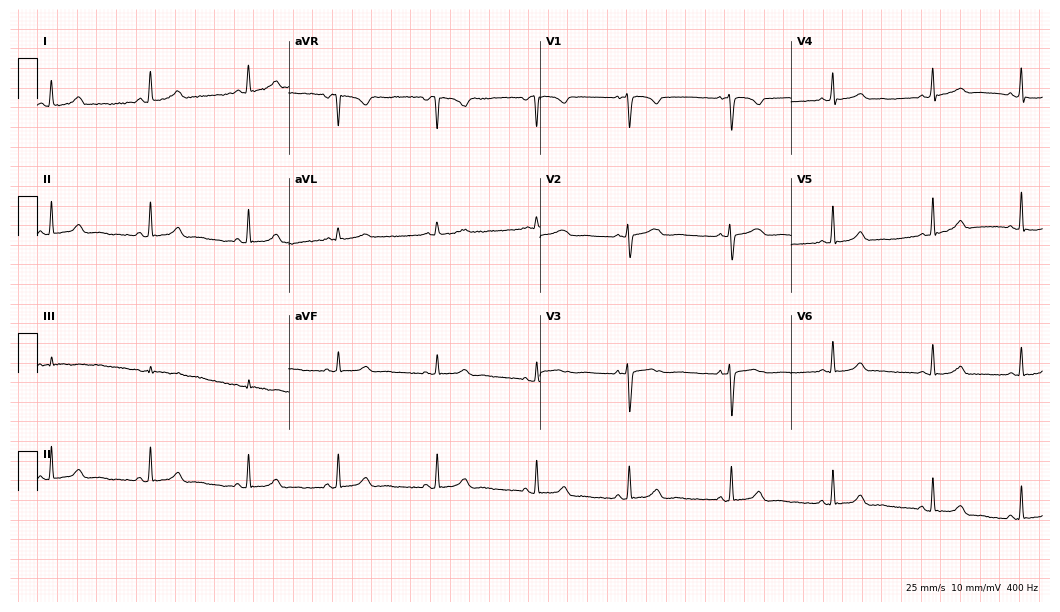
ECG — an 18-year-old female patient. Labelled as a normal ECG.